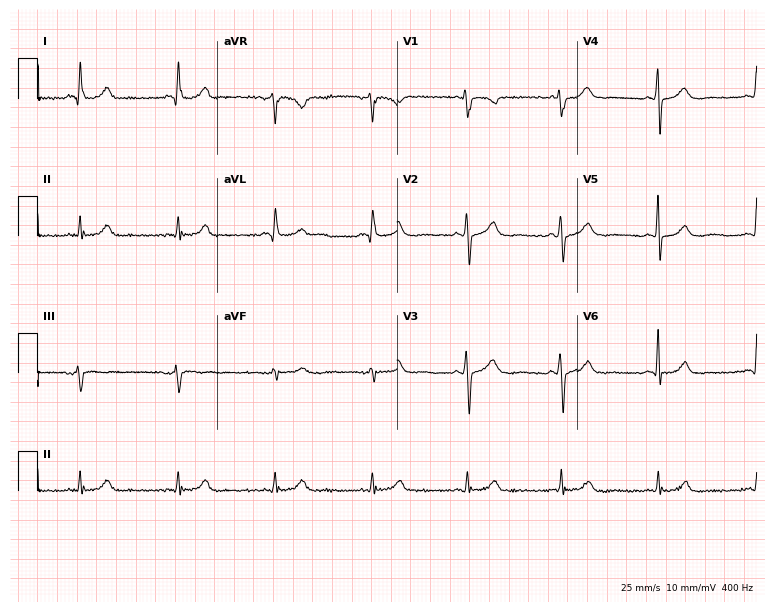
12-lead ECG from a 60-year-old woman (7.3-second recording at 400 Hz). Recorded interpretation: within normal limits.